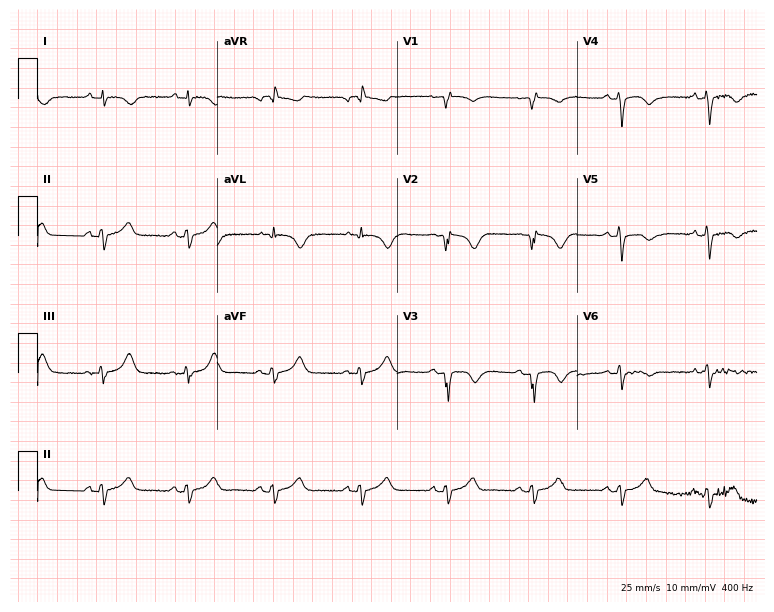
ECG — a male patient, 68 years old. Screened for six findings — first-degree AV block, right bundle branch block, left bundle branch block, sinus bradycardia, atrial fibrillation, sinus tachycardia — none is recorded. Only these six findings were labelled.